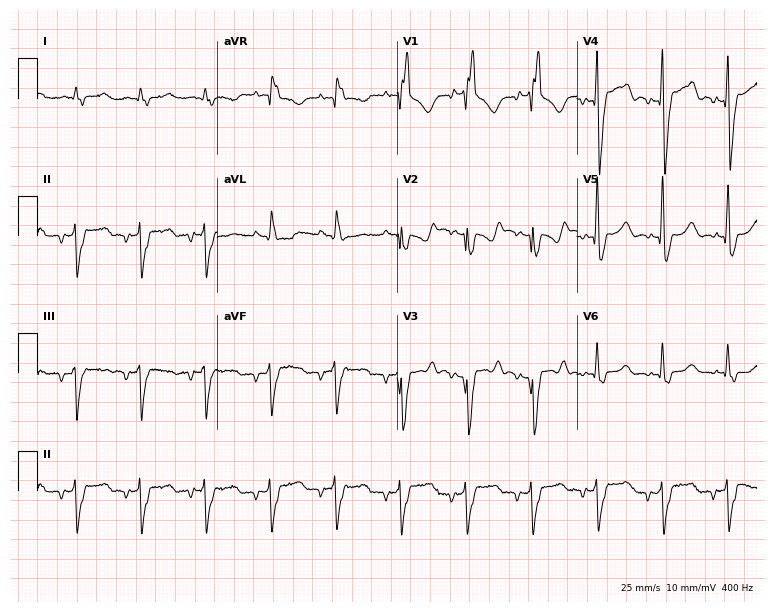
ECG (7.3-second recording at 400 Hz) — a 63-year-old woman. Findings include right bundle branch block.